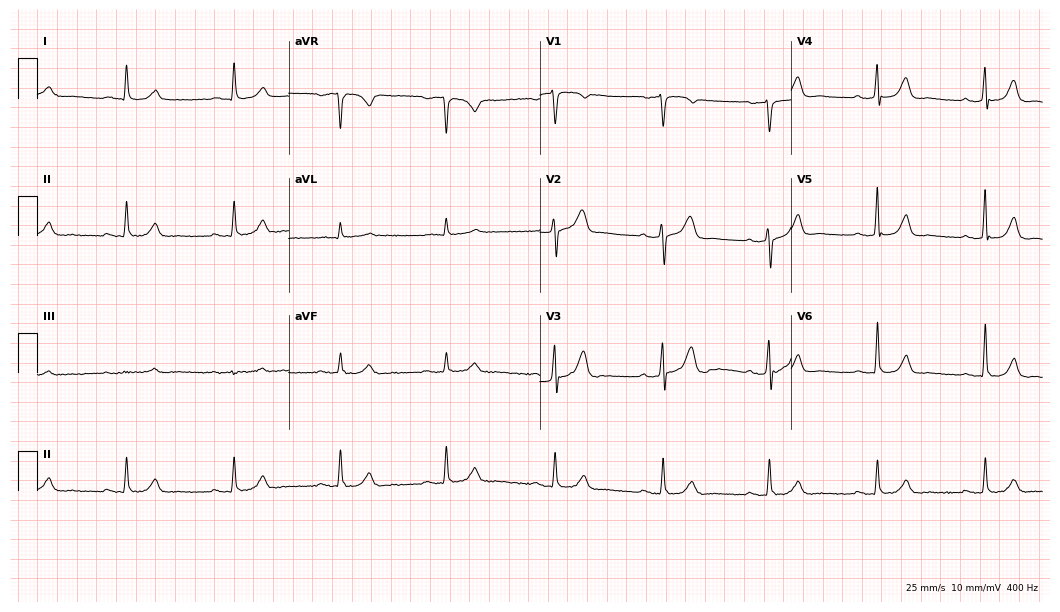
Electrocardiogram, a male, 71 years old. Of the six screened findings (first-degree AV block, right bundle branch block, left bundle branch block, sinus bradycardia, atrial fibrillation, sinus tachycardia), none is recorded. Only these six findings were labelled.